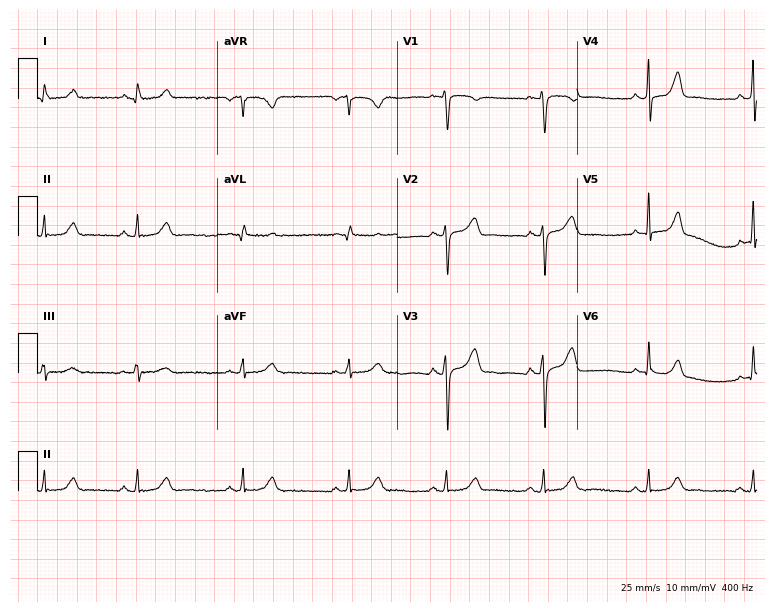
12-lead ECG from a female patient, 43 years old. Labelled as a normal ECG.